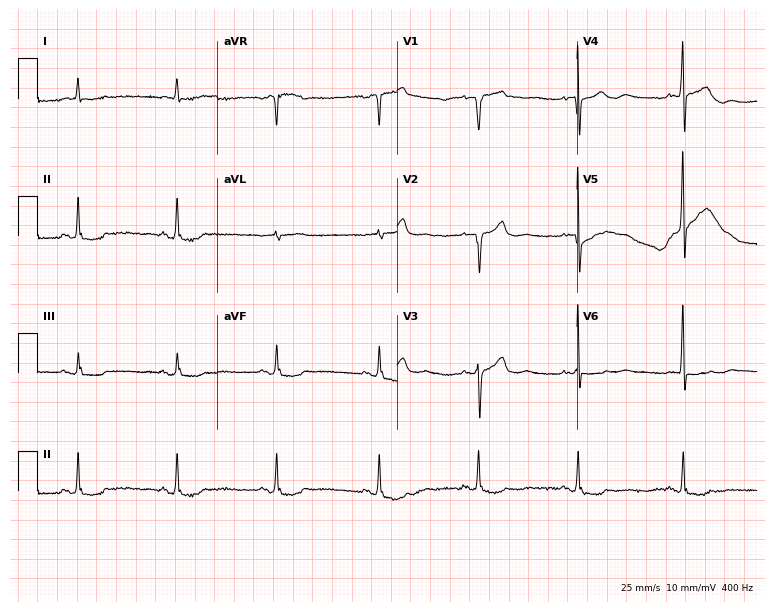
Electrocardiogram (7.3-second recording at 400 Hz), a 77-year-old female patient. Of the six screened findings (first-degree AV block, right bundle branch block (RBBB), left bundle branch block (LBBB), sinus bradycardia, atrial fibrillation (AF), sinus tachycardia), none is recorded.